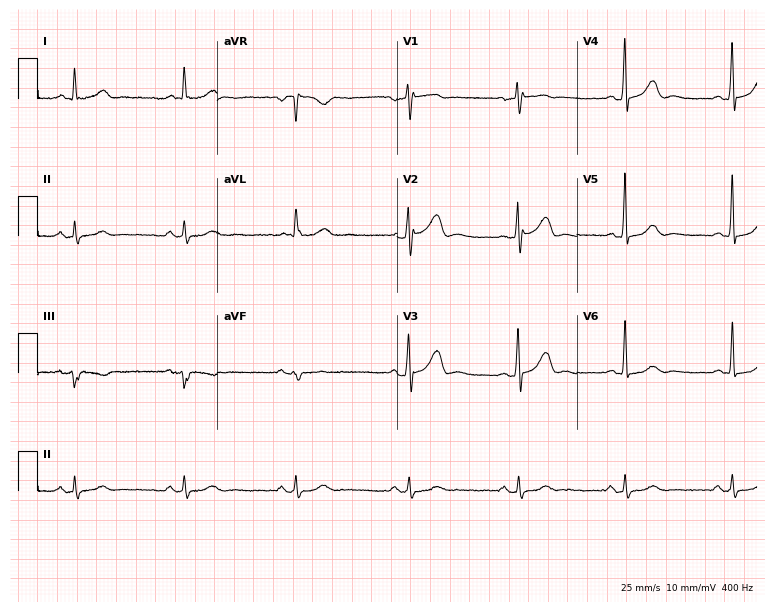
Electrocardiogram, a 52-year-old male. Overall reading on record: normal ECG.